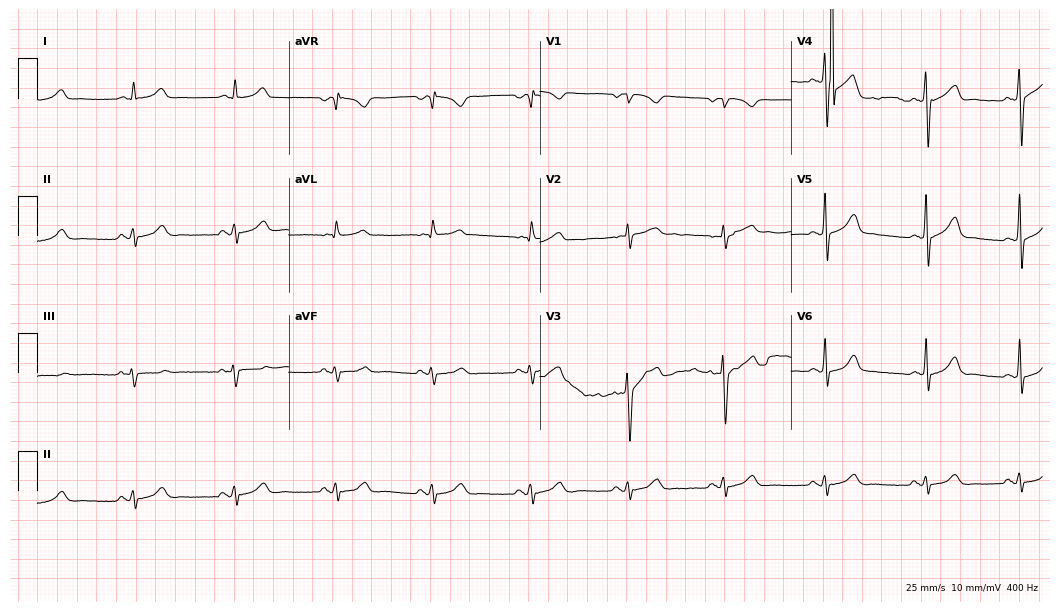
Standard 12-lead ECG recorded from a male patient, 48 years old. Read as a normal ECG.